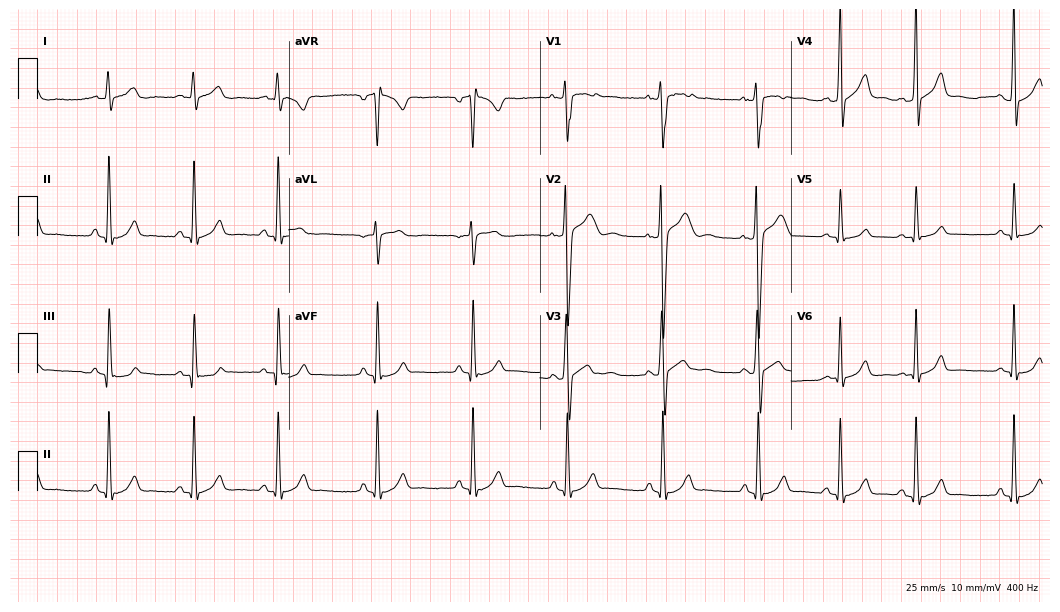
ECG (10.2-second recording at 400 Hz) — an 18-year-old man. Labelled as a normal ECG.